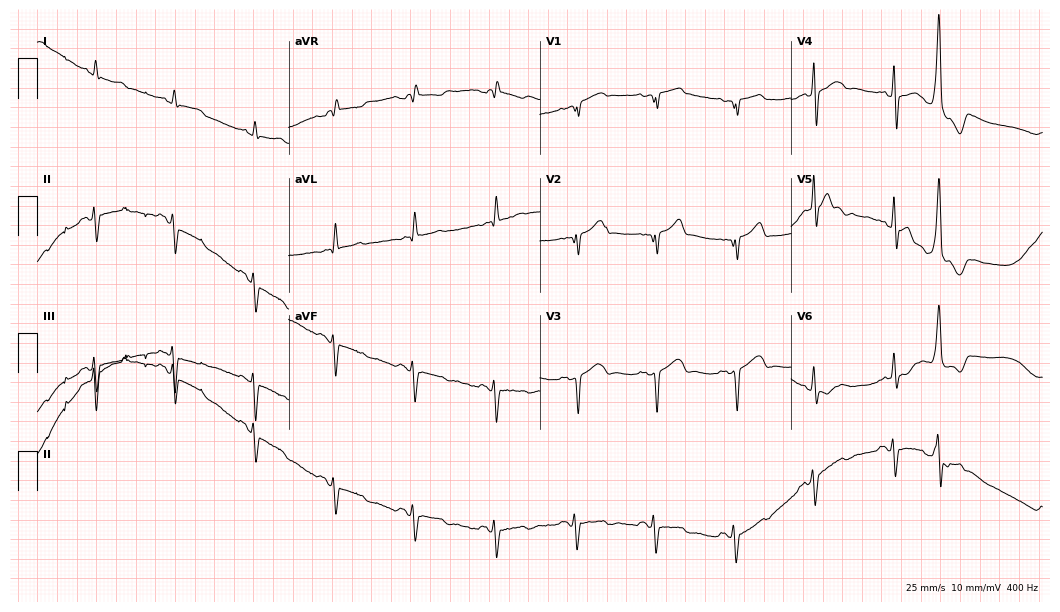
12-lead ECG (10.2-second recording at 400 Hz) from a 77-year-old man. Screened for six findings — first-degree AV block, right bundle branch block, left bundle branch block, sinus bradycardia, atrial fibrillation, sinus tachycardia — none is recorded.